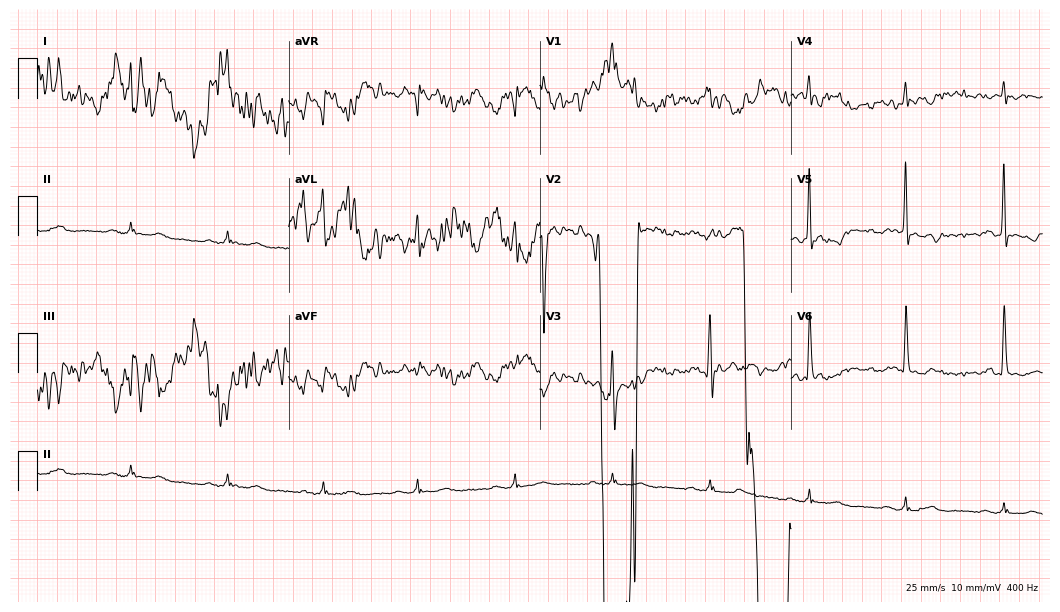
12-lead ECG from a 72-year-old female patient. No first-degree AV block, right bundle branch block, left bundle branch block, sinus bradycardia, atrial fibrillation or sinus tachycardia recorded for this tracing.